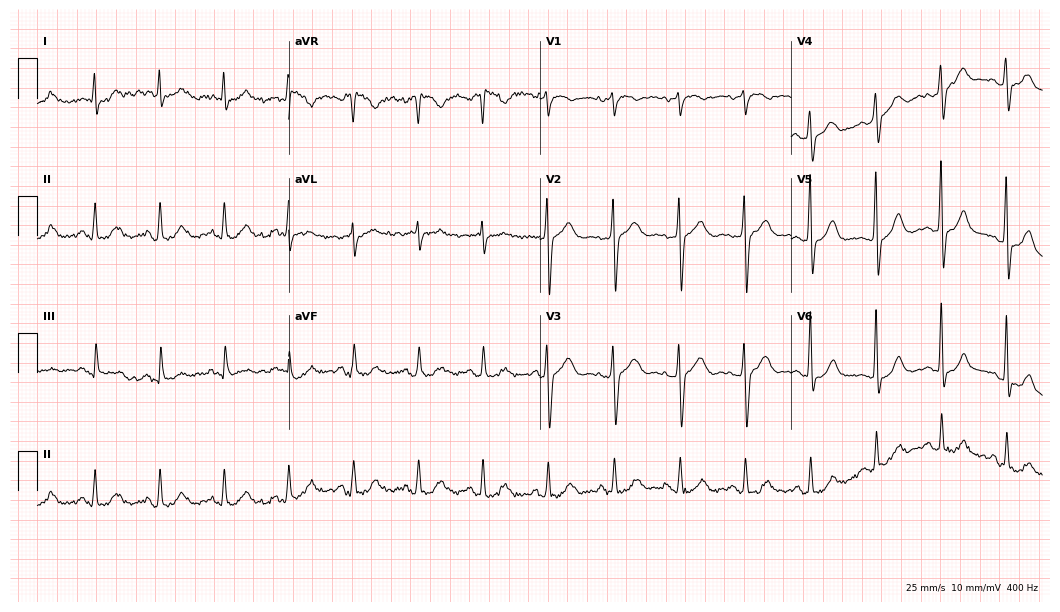
12-lead ECG (10.2-second recording at 400 Hz) from a 63-year-old man. Labelled as a normal ECG.